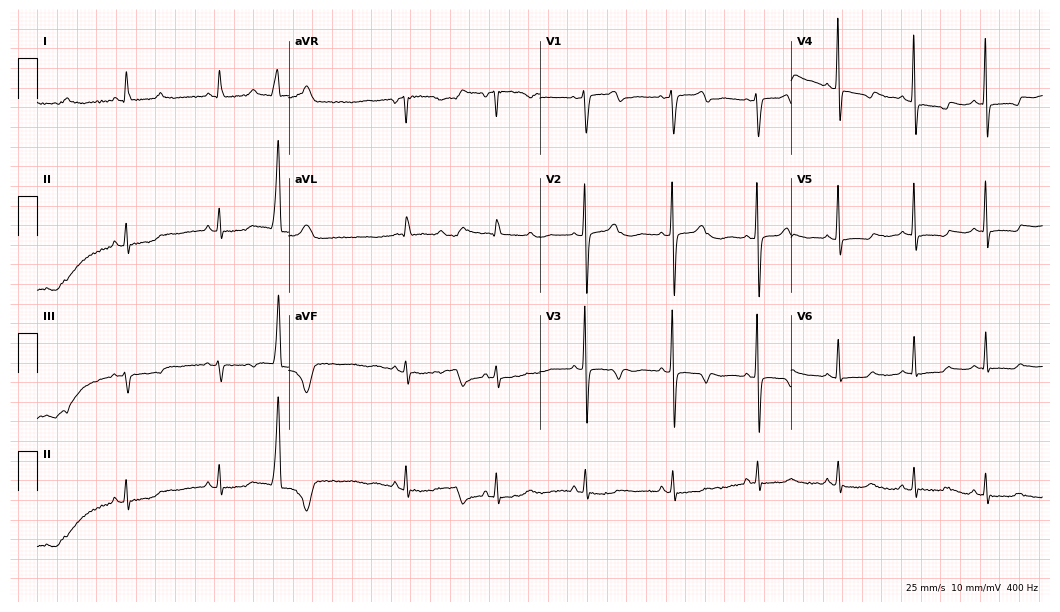
Electrocardiogram (10.2-second recording at 400 Hz), a female patient, 69 years old. Of the six screened findings (first-degree AV block, right bundle branch block, left bundle branch block, sinus bradycardia, atrial fibrillation, sinus tachycardia), none is recorded. Findings outside these six are not listed.